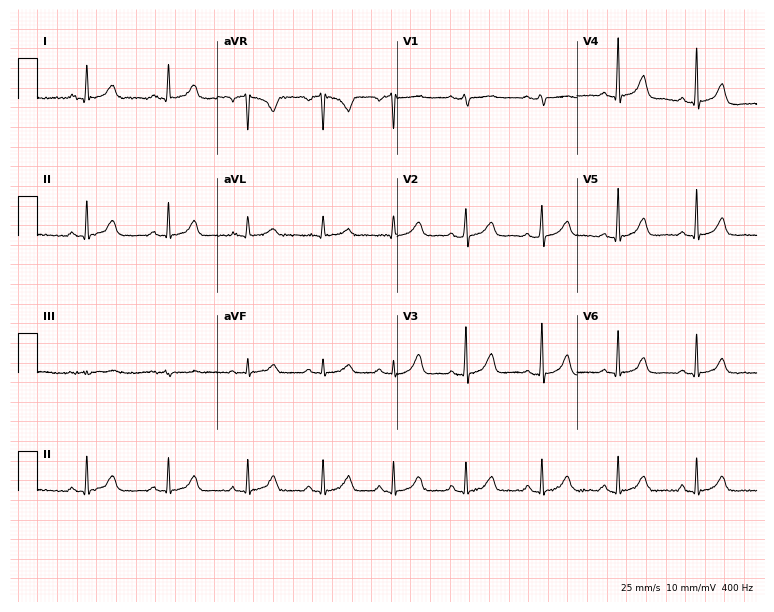
Resting 12-lead electrocardiogram. Patient: a 55-year-old female. Read as a normal ECG.